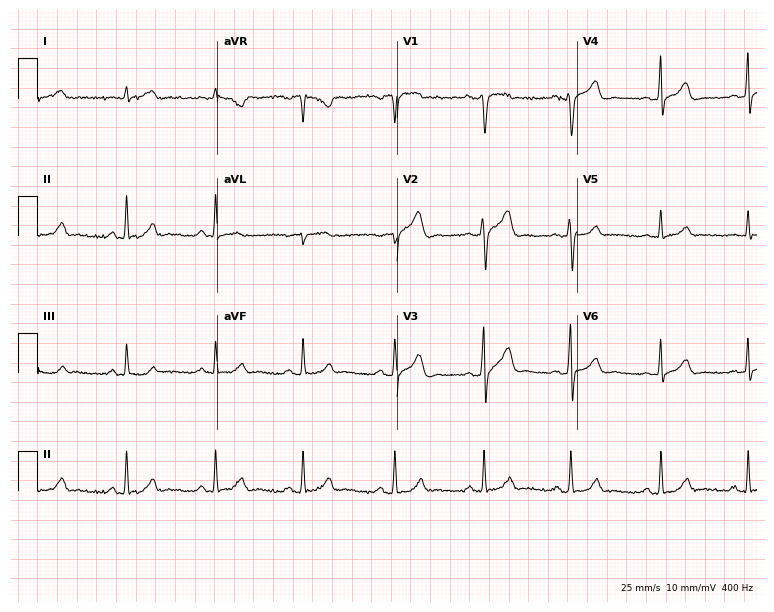
Electrocardiogram, a 29-year-old male patient. Overall reading on record: normal ECG.